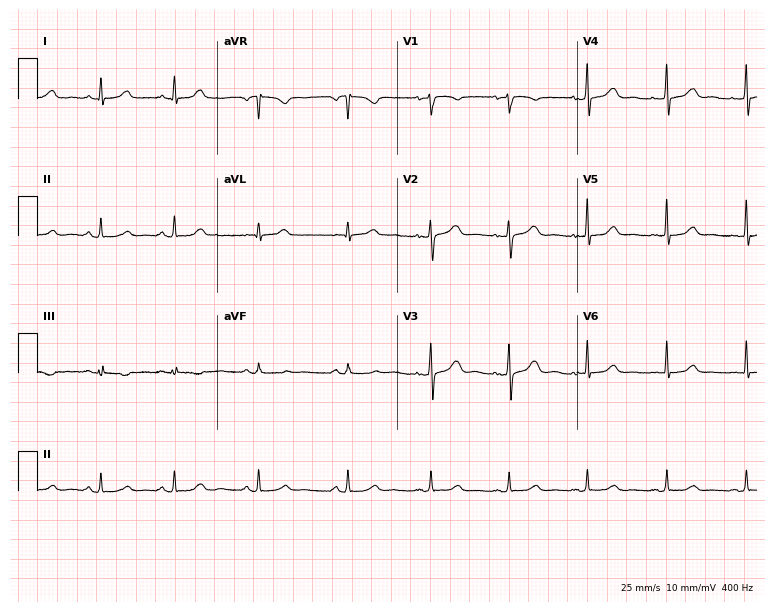
Electrocardiogram, a man, 48 years old. Overall reading on record: normal ECG.